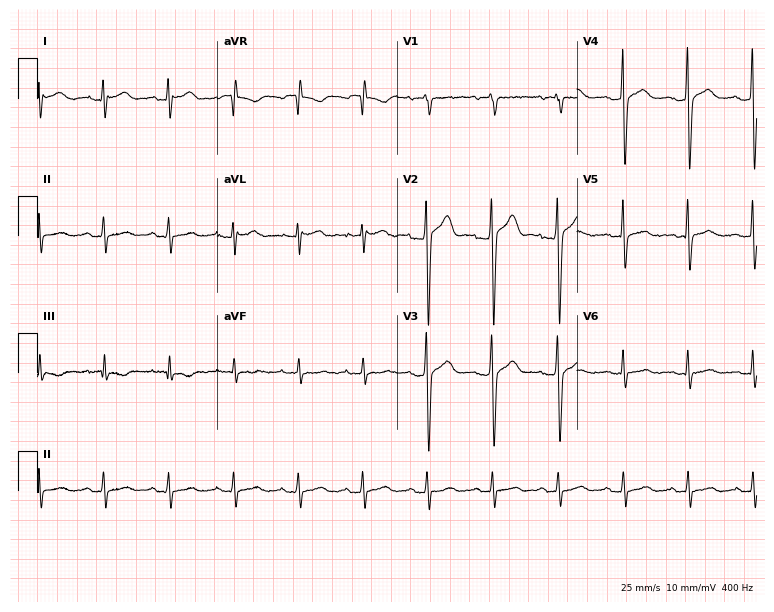
12-lead ECG (7.3-second recording at 400 Hz) from a male, 32 years old. Labelled as a normal ECG.